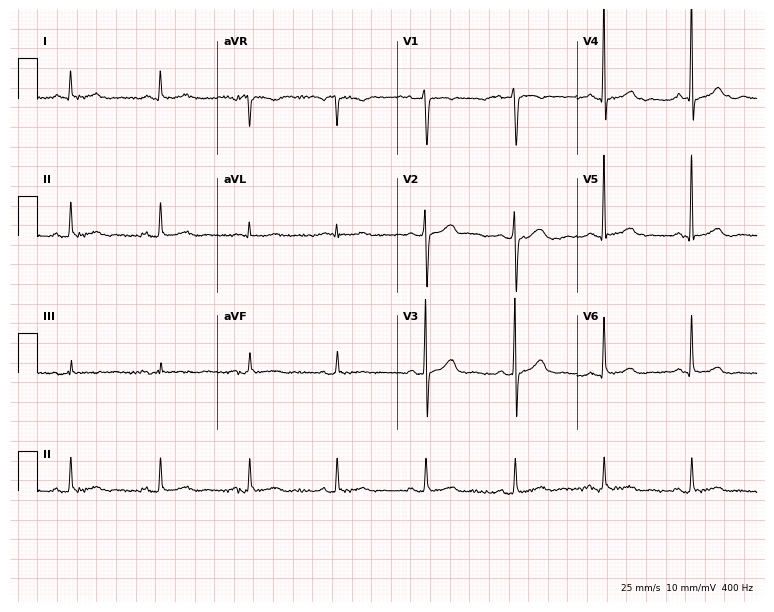
12-lead ECG from a 71-year-old man (7.3-second recording at 400 Hz). No first-degree AV block, right bundle branch block, left bundle branch block, sinus bradycardia, atrial fibrillation or sinus tachycardia recorded for this tracing. Findings outside these six are not listed.